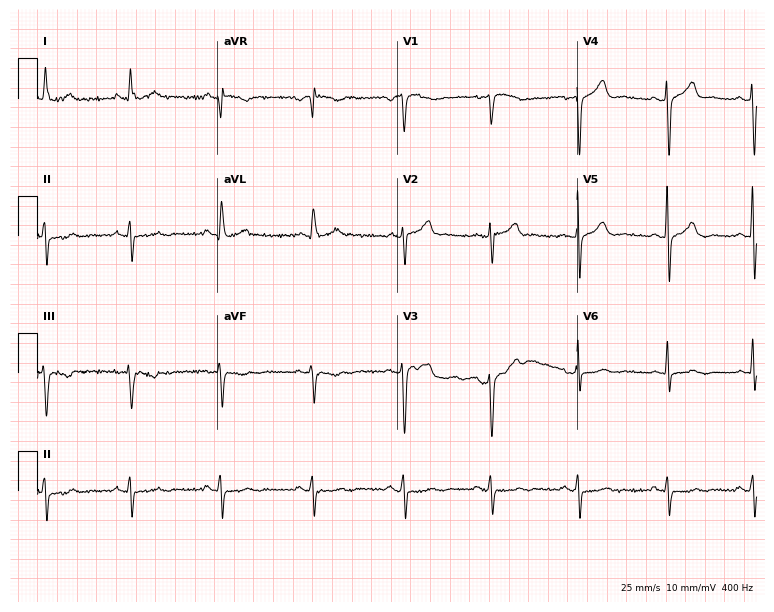
Electrocardiogram (7.3-second recording at 400 Hz), a 44-year-old woman. Of the six screened findings (first-degree AV block, right bundle branch block, left bundle branch block, sinus bradycardia, atrial fibrillation, sinus tachycardia), none is recorded.